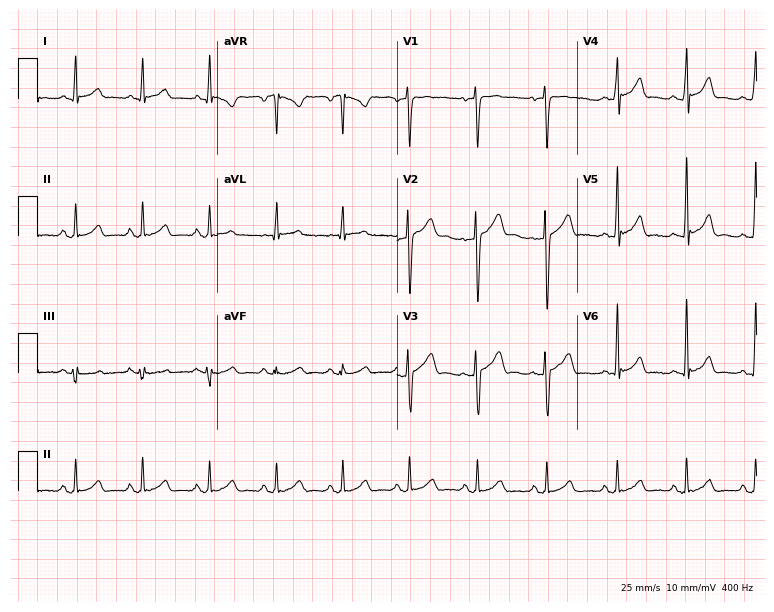
12-lead ECG from a 30-year-old male. Labelled as a normal ECG.